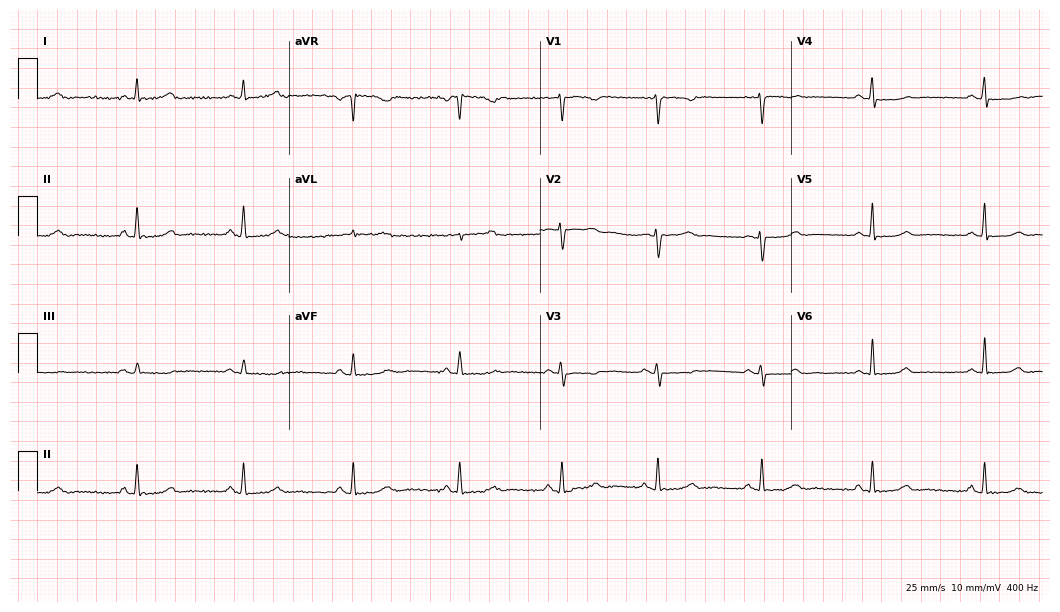
Standard 12-lead ECG recorded from a 53-year-old female (10.2-second recording at 400 Hz). None of these six findings is recorded: first-degree AV block, right bundle branch block, left bundle branch block, sinus bradycardia, atrial fibrillation, sinus tachycardia.